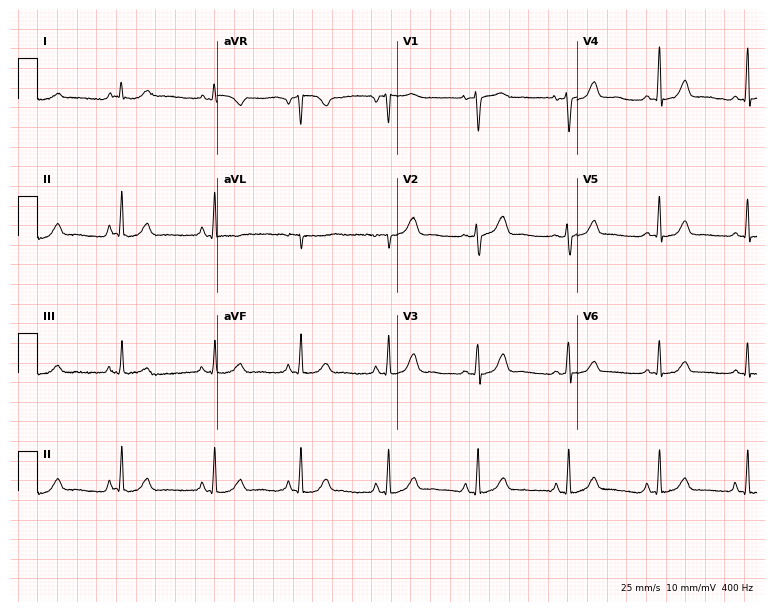
ECG (7.3-second recording at 400 Hz) — a woman, 40 years old. Labelled as a normal ECG.